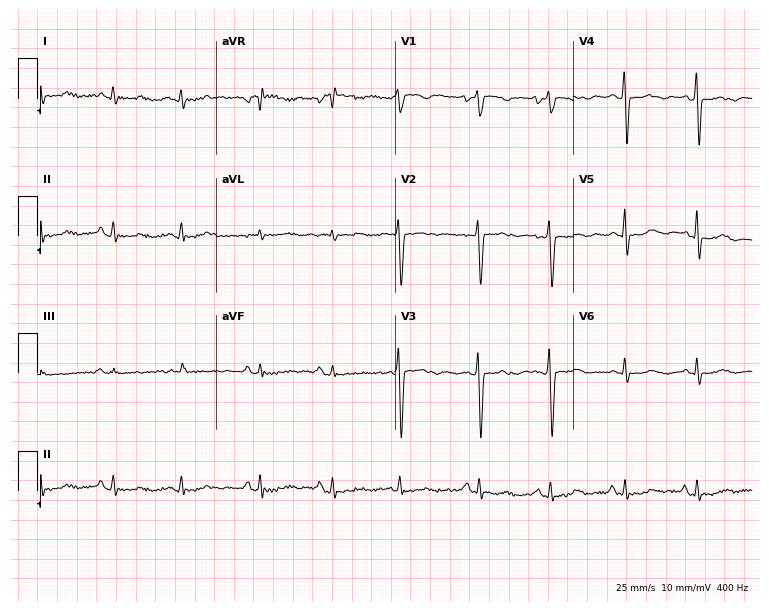
Resting 12-lead electrocardiogram. Patient: a man, 82 years old. None of these six findings is recorded: first-degree AV block, right bundle branch block, left bundle branch block, sinus bradycardia, atrial fibrillation, sinus tachycardia.